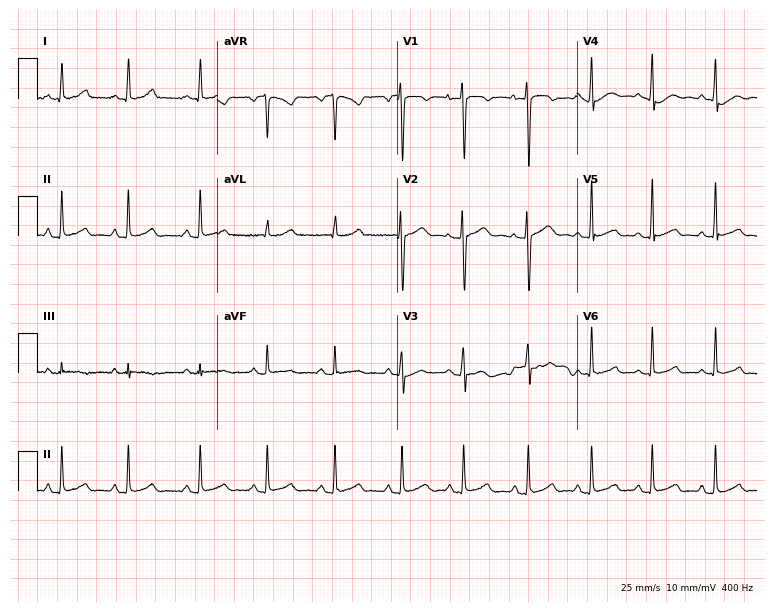
Standard 12-lead ECG recorded from a female patient, 17 years old (7.3-second recording at 400 Hz). None of these six findings is recorded: first-degree AV block, right bundle branch block (RBBB), left bundle branch block (LBBB), sinus bradycardia, atrial fibrillation (AF), sinus tachycardia.